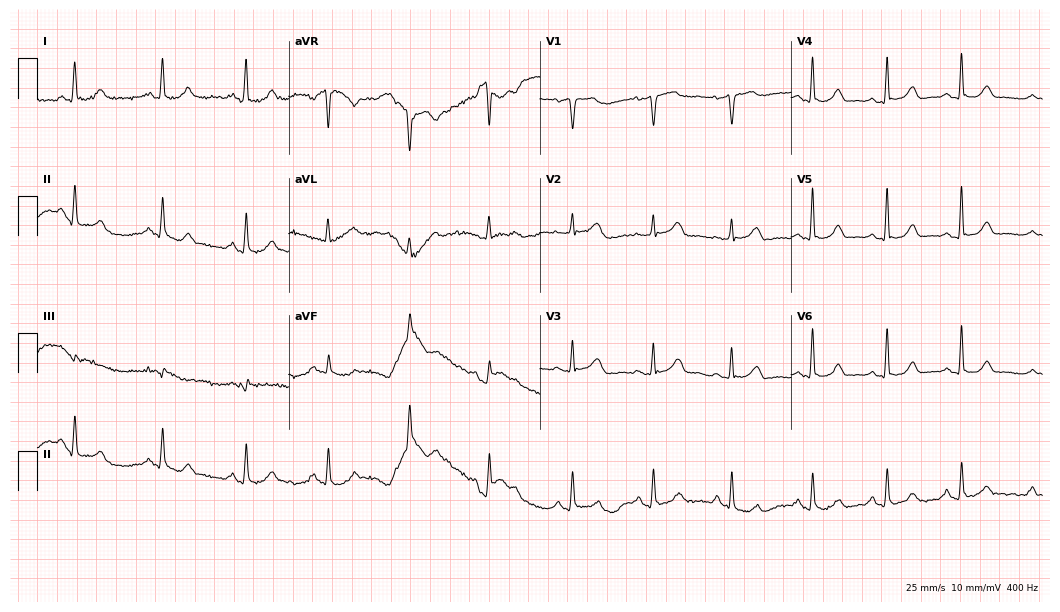
Electrocardiogram (10.2-second recording at 400 Hz), a woman, 63 years old. Of the six screened findings (first-degree AV block, right bundle branch block, left bundle branch block, sinus bradycardia, atrial fibrillation, sinus tachycardia), none is recorded.